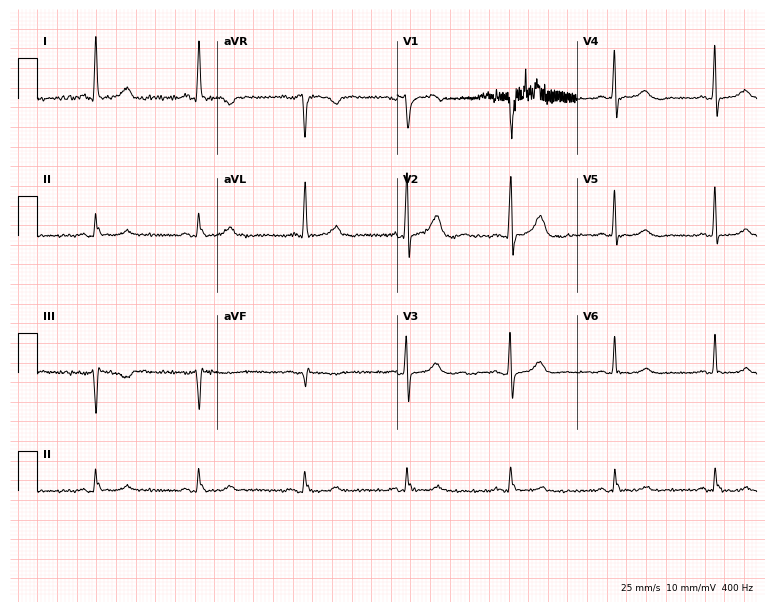
12-lead ECG (7.3-second recording at 400 Hz) from a man, 66 years old. Labelled as a normal ECG.